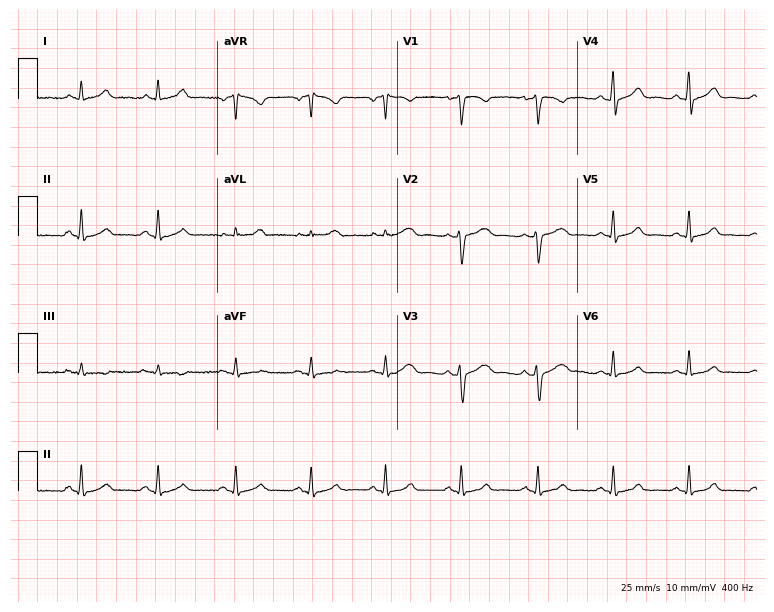
12-lead ECG (7.3-second recording at 400 Hz) from a female, 35 years old. Labelled as a normal ECG.